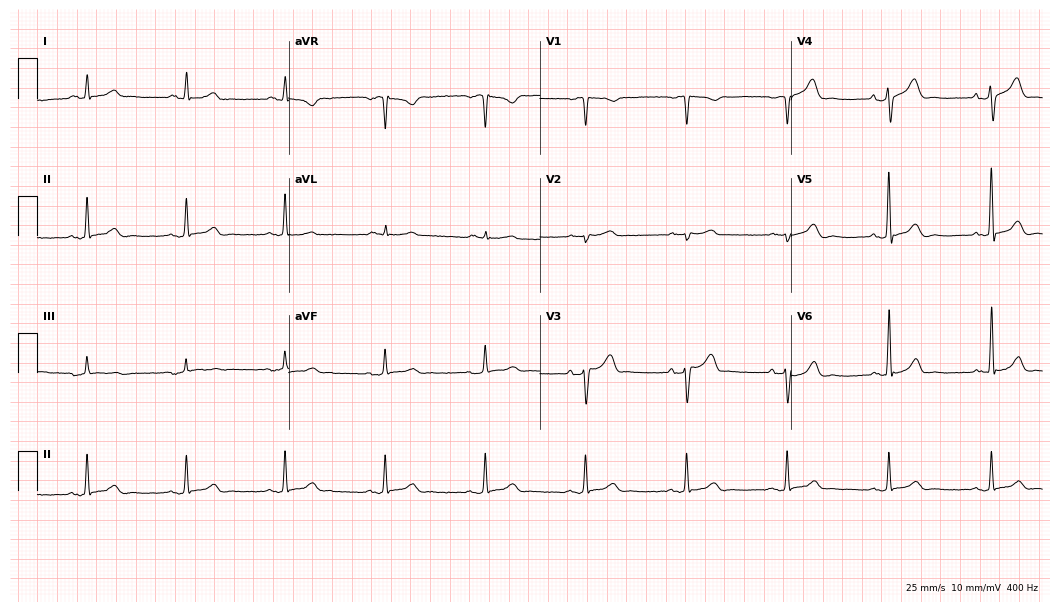
Standard 12-lead ECG recorded from a 67-year-old male patient. Read as a normal ECG.